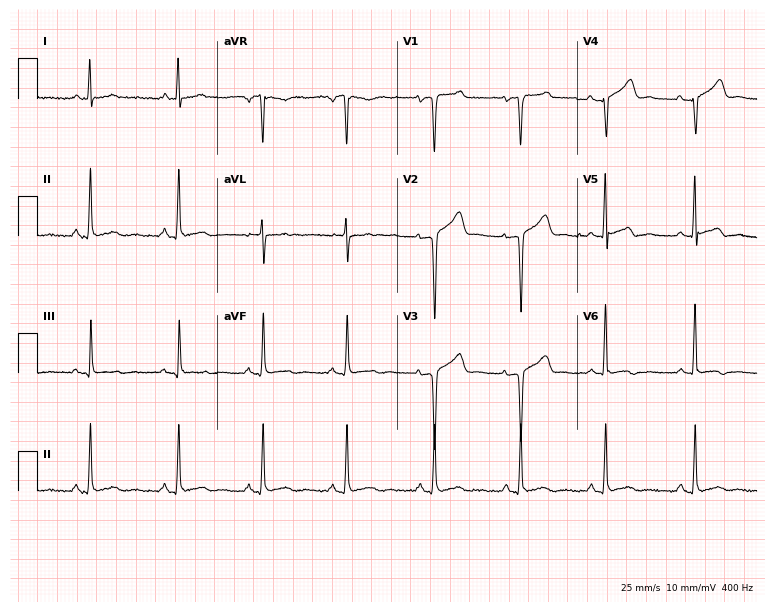
Standard 12-lead ECG recorded from a 41-year-old female (7.3-second recording at 400 Hz). None of these six findings is recorded: first-degree AV block, right bundle branch block, left bundle branch block, sinus bradycardia, atrial fibrillation, sinus tachycardia. Other findings, if any, are not listed.